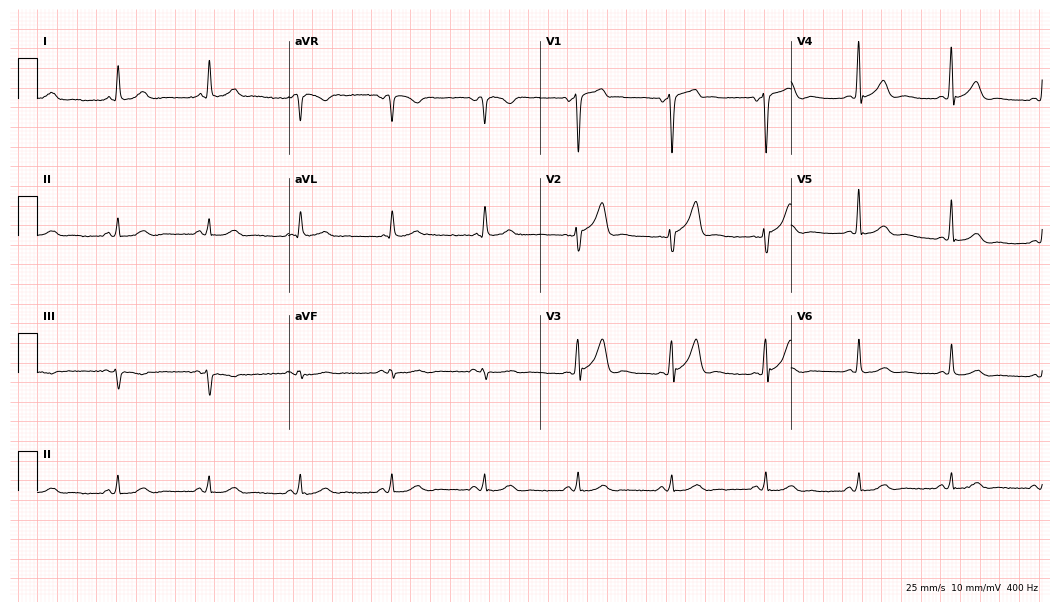
Standard 12-lead ECG recorded from a man, 71 years old (10.2-second recording at 400 Hz). Read as a normal ECG.